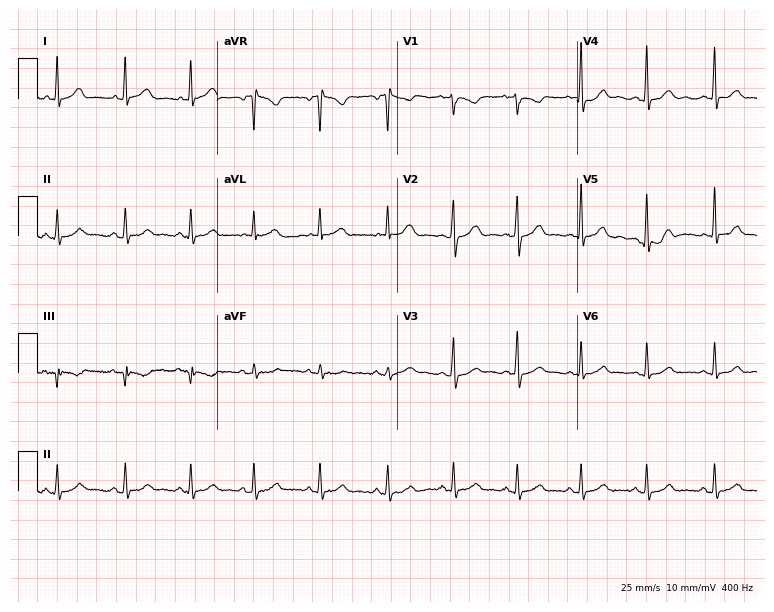
Standard 12-lead ECG recorded from a female patient, 30 years old. Read as a normal ECG.